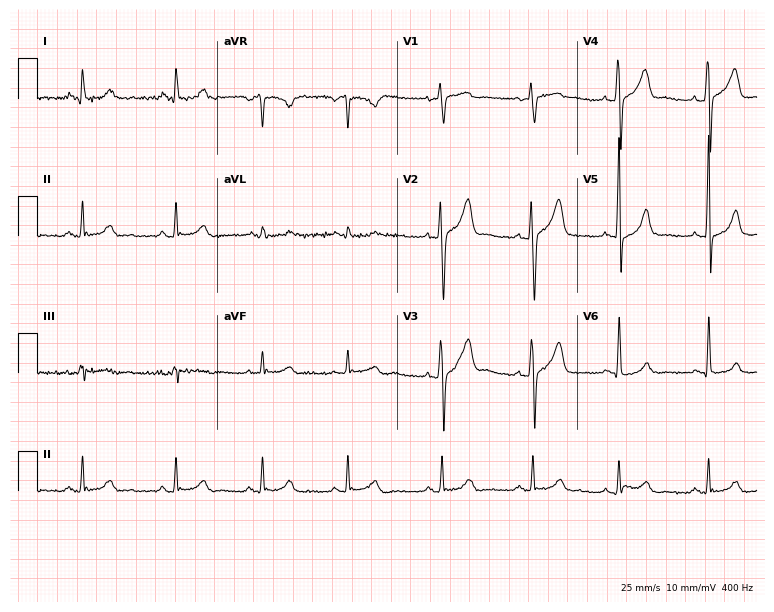
Resting 12-lead electrocardiogram (7.3-second recording at 400 Hz). Patient: a male, 34 years old. None of these six findings is recorded: first-degree AV block, right bundle branch block (RBBB), left bundle branch block (LBBB), sinus bradycardia, atrial fibrillation (AF), sinus tachycardia.